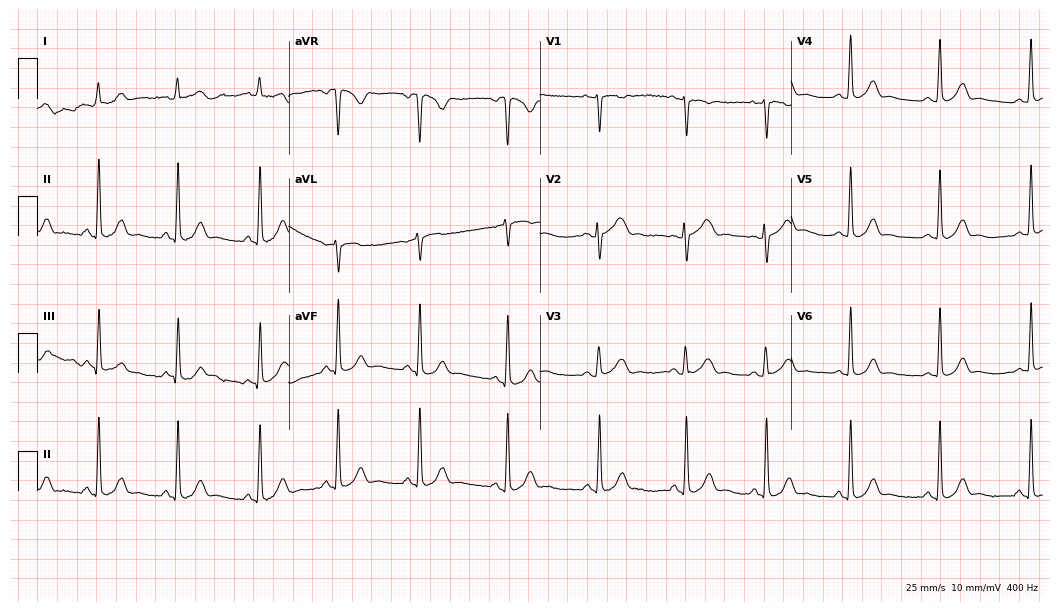
Standard 12-lead ECG recorded from an 18-year-old woman. Read as a normal ECG.